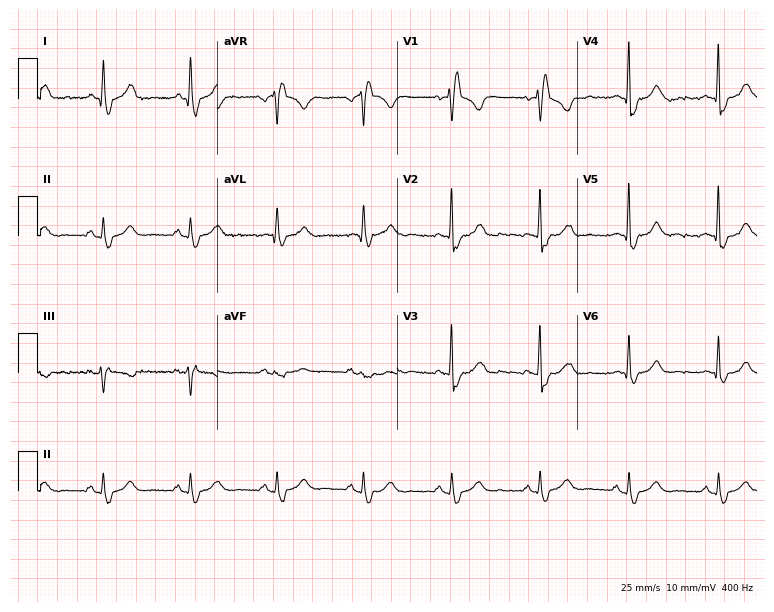
Standard 12-lead ECG recorded from a 44-year-old woman (7.3-second recording at 400 Hz). The tracing shows right bundle branch block.